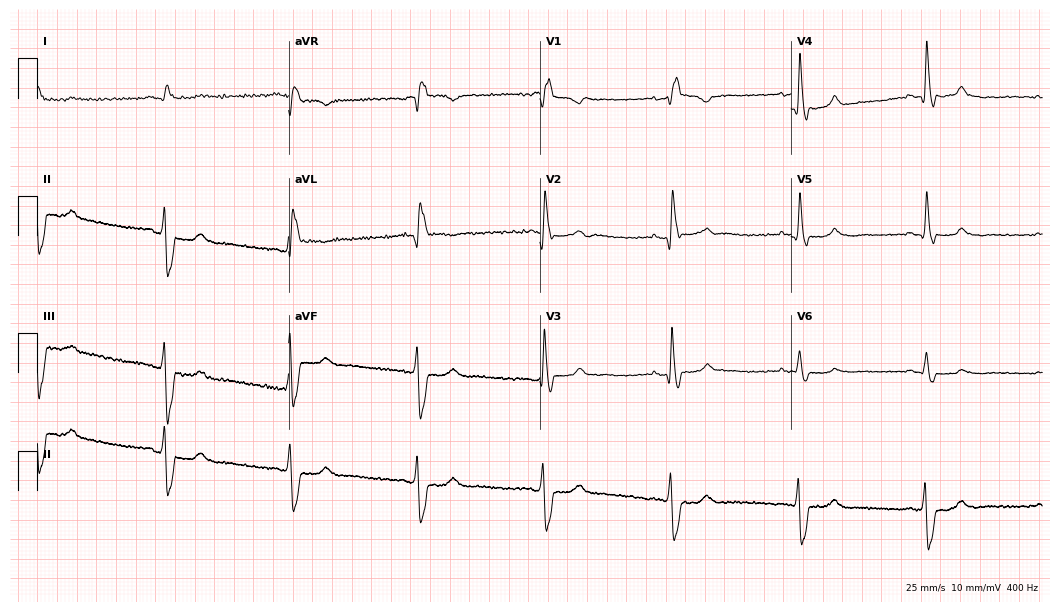
Electrocardiogram, a male patient, 55 years old. Of the six screened findings (first-degree AV block, right bundle branch block, left bundle branch block, sinus bradycardia, atrial fibrillation, sinus tachycardia), none is recorded.